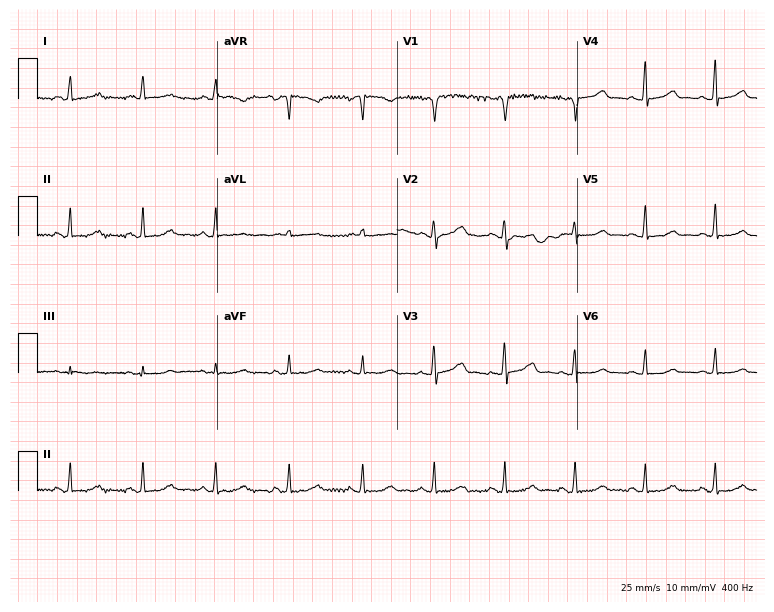
Standard 12-lead ECG recorded from a 43-year-old woman (7.3-second recording at 400 Hz). Read as a normal ECG.